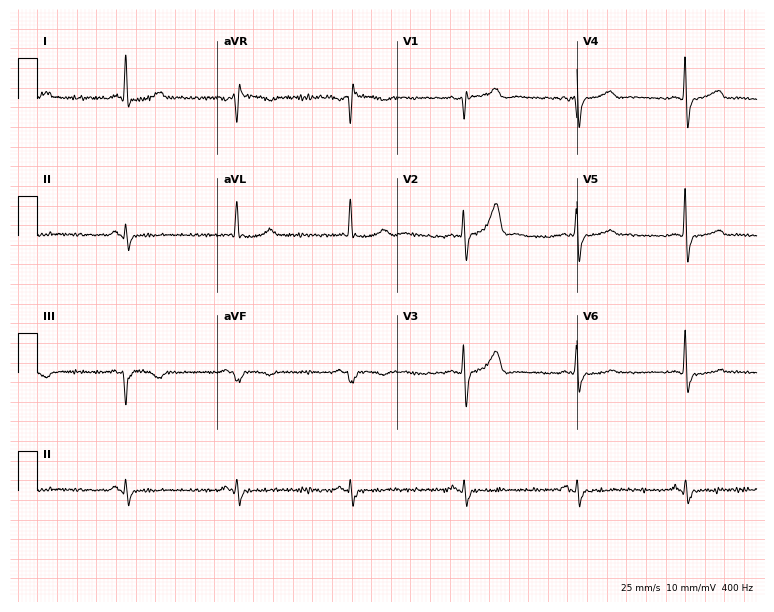
Standard 12-lead ECG recorded from a man, 56 years old. None of these six findings is recorded: first-degree AV block, right bundle branch block (RBBB), left bundle branch block (LBBB), sinus bradycardia, atrial fibrillation (AF), sinus tachycardia.